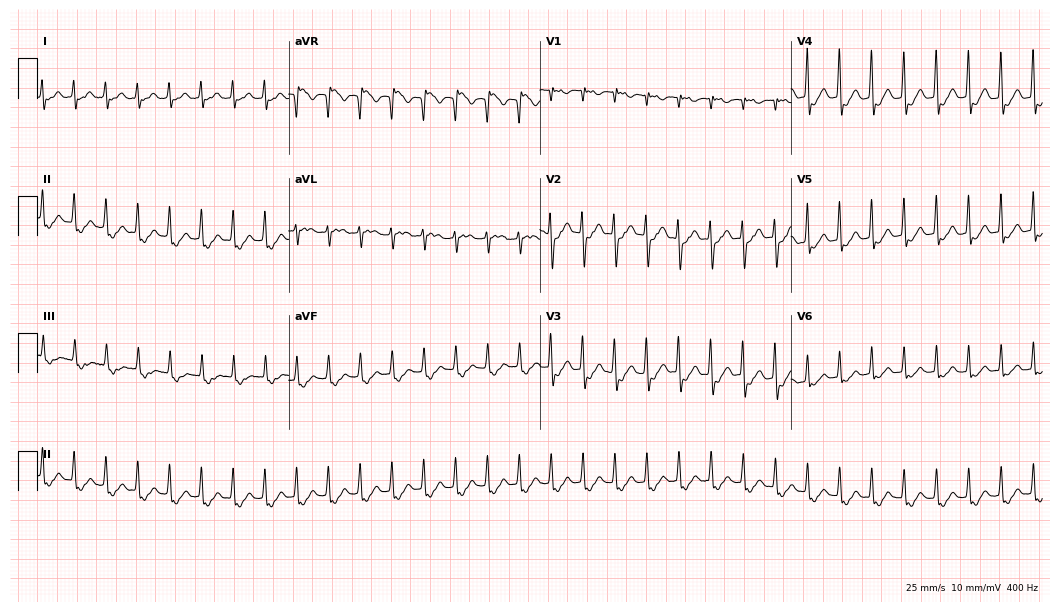
Standard 12-lead ECG recorded from a female, 41 years old. The tracing shows sinus tachycardia (a sinus rate of 100 beats per minute or more).